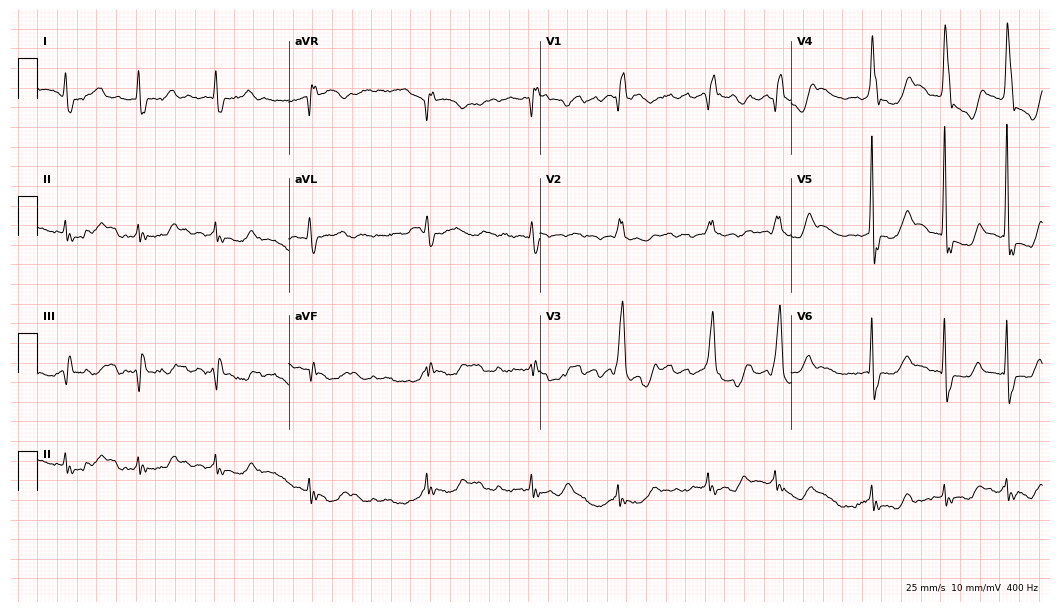
12-lead ECG from a female patient, 77 years old. No first-degree AV block, right bundle branch block (RBBB), left bundle branch block (LBBB), sinus bradycardia, atrial fibrillation (AF) or sinus tachycardia recorded for this tracing. Only these six findings were labelled.